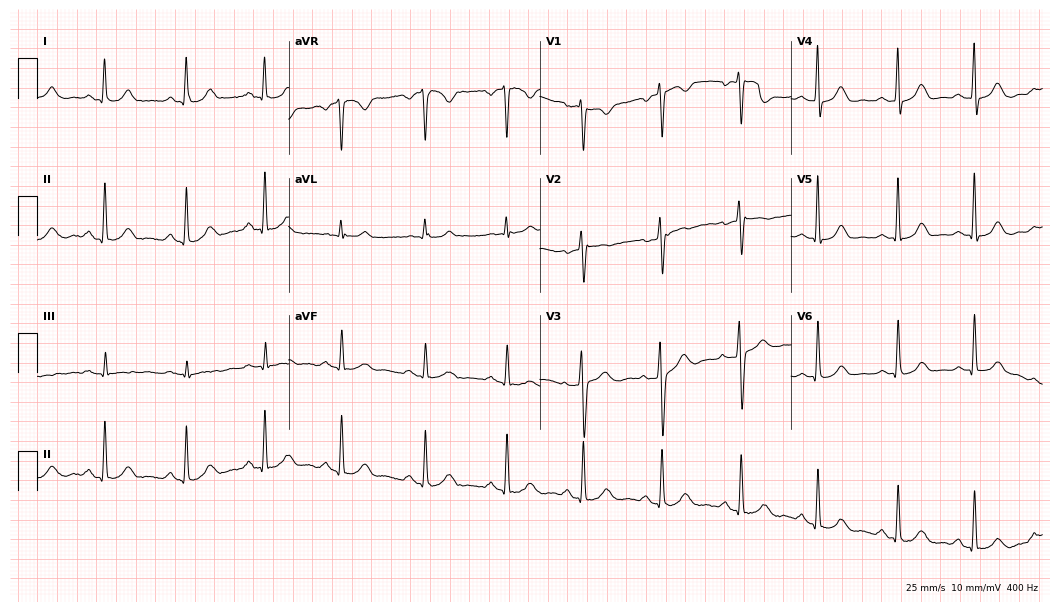
Electrocardiogram (10.2-second recording at 400 Hz), a 49-year-old woman. Overall reading on record: normal ECG.